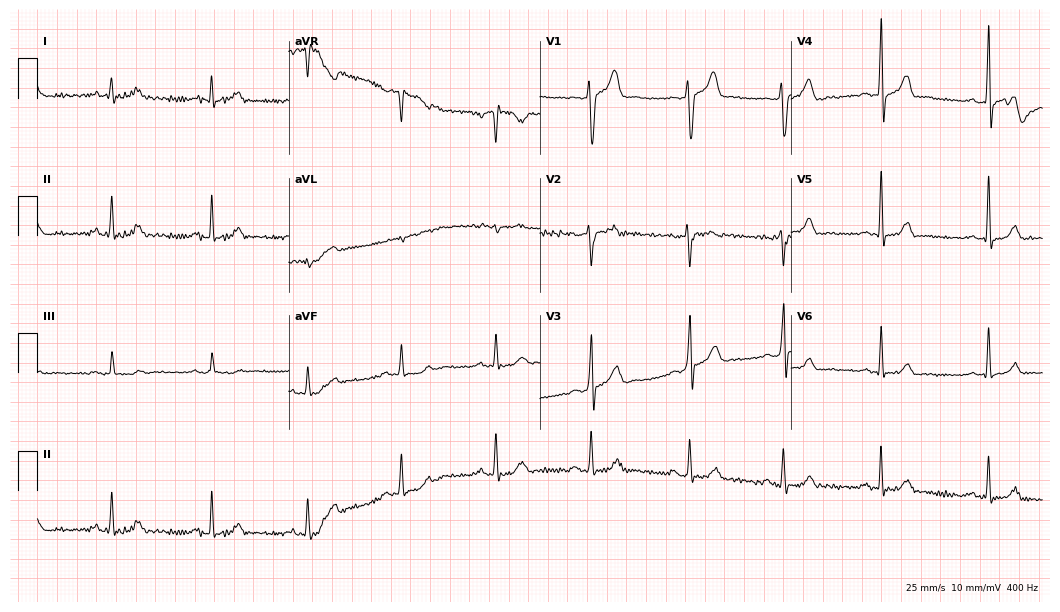
ECG (10.2-second recording at 400 Hz) — a male patient, 39 years old. Screened for six findings — first-degree AV block, right bundle branch block, left bundle branch block, sinus bradycardia, atrial fibrillation, sinus tachycardia — none is recorded. Findings outside these six are not listed.